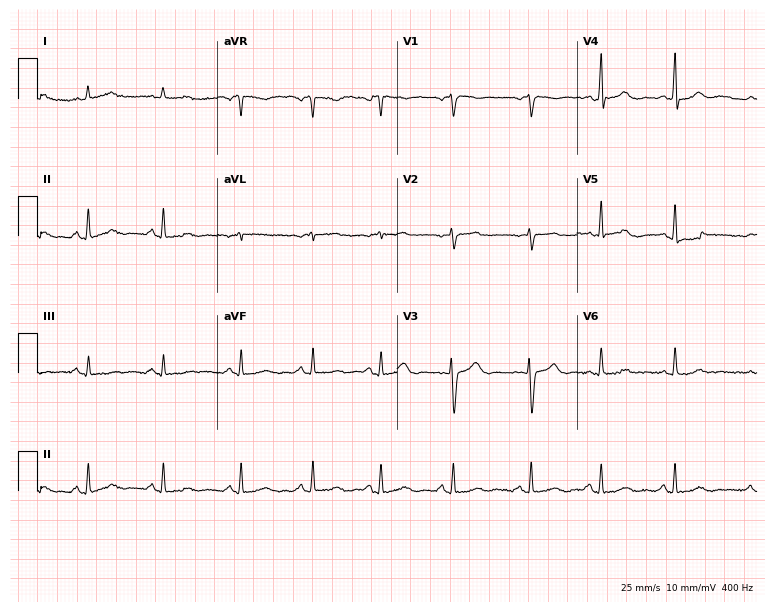
12-lead ECG from a 25-year-old female (7.3-second recording at 400 Hz). Recorded interpretation: within normal limits.